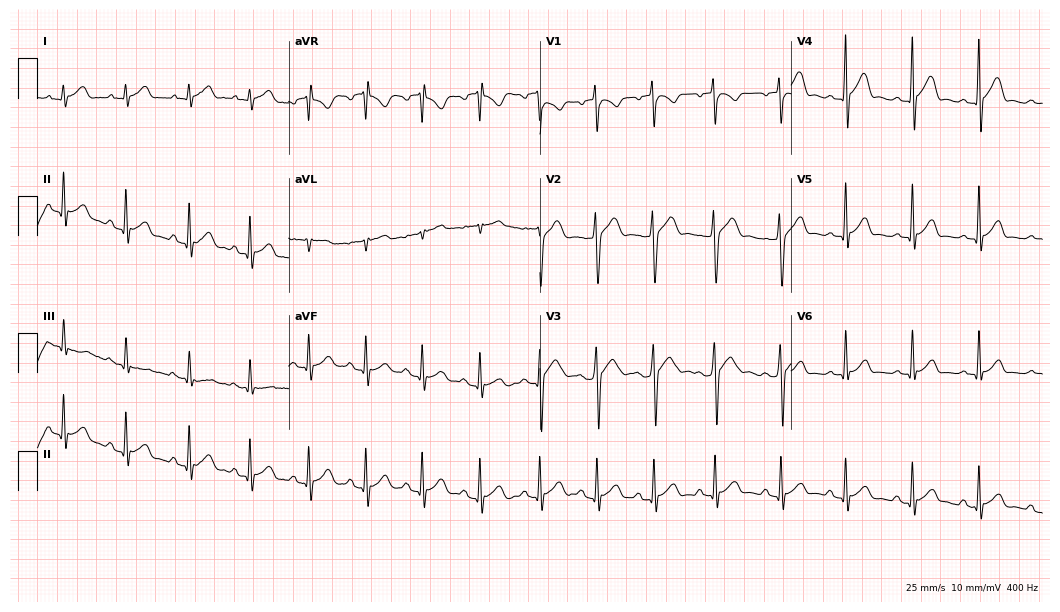
12-lead ECG (10.2-second recording at 400 Hz) from a male, 25 years old. Labelled as a normal ECG.